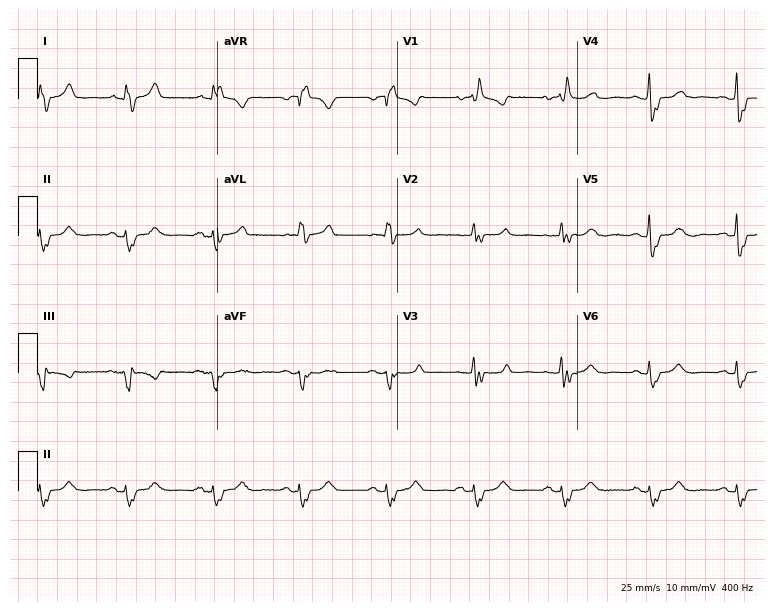
12-lead ECG from a woman, 74 years old. Shows right bundle branch block.